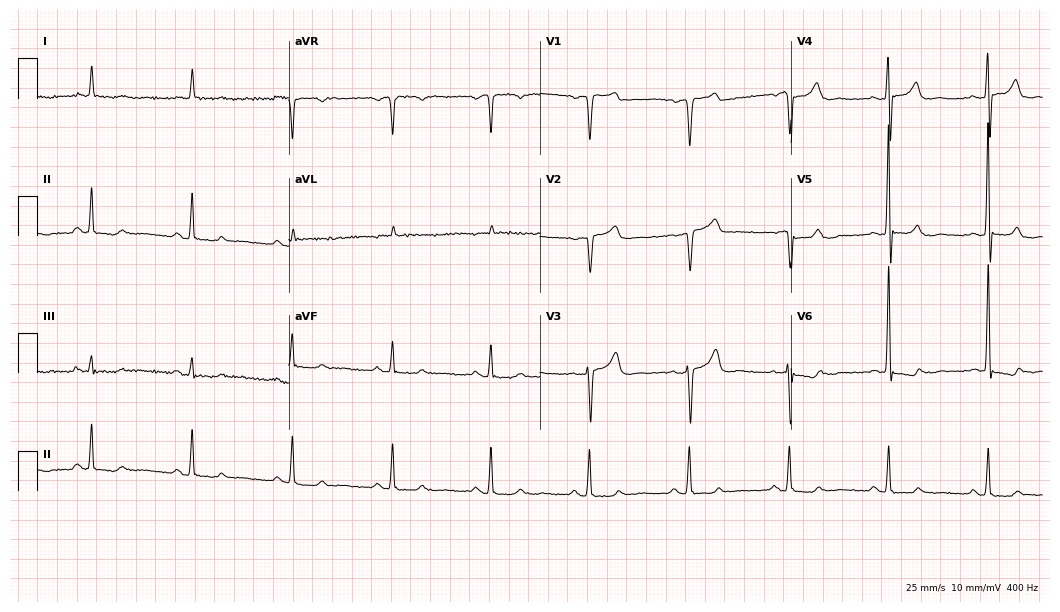
Resting 12-lead electrocardiogram (10.2-second recording at 400 Hz). Patient: a man, 77 years old. None of these six findings is recorded: first-degree AV block, right bundle branch block, left bundle branch block, sinus bradycardia, atrial fibrillation, sinus tachycardia. Findings outside these six are not listed.